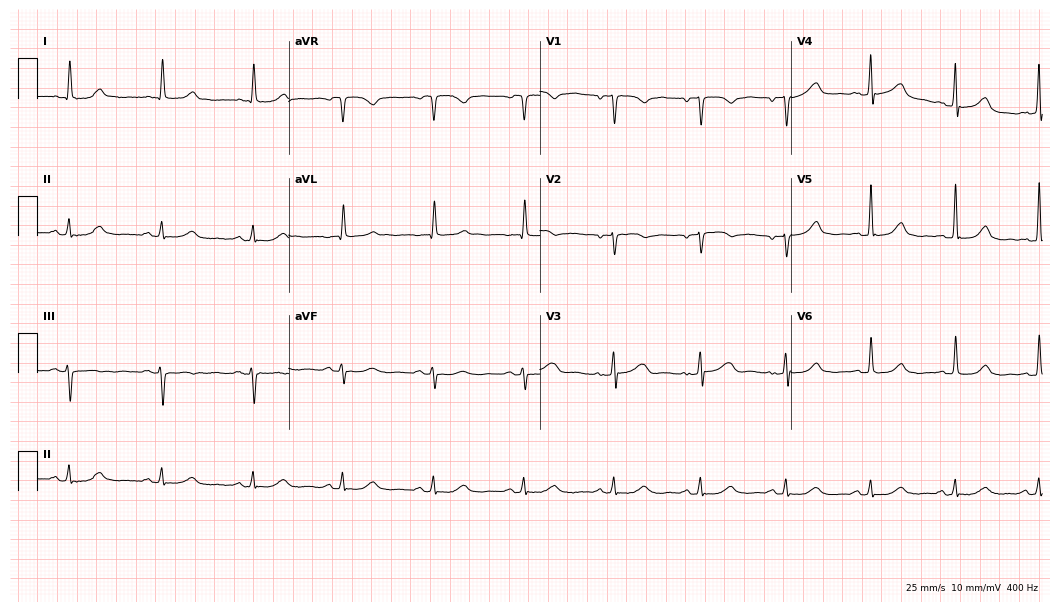
12-lead ECG from a female patient, 80 years old (10.2-second recording at 400 Hz). Recorded interpretation: within normal limits.